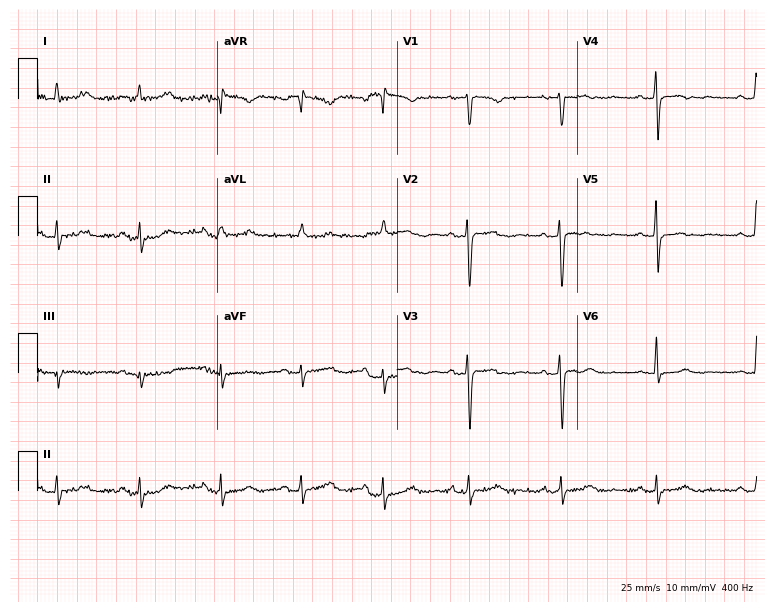
12-lead ECG from a 50-year-old female patient (7.3-second recording at 400 Hz). No first-degree AV block, right bundle branch block (RBBB), left bundle branch block (LBBB), sinus bradycardia, atrial fibrillation (AF) or sinus tachycardia recorded for this tracing.